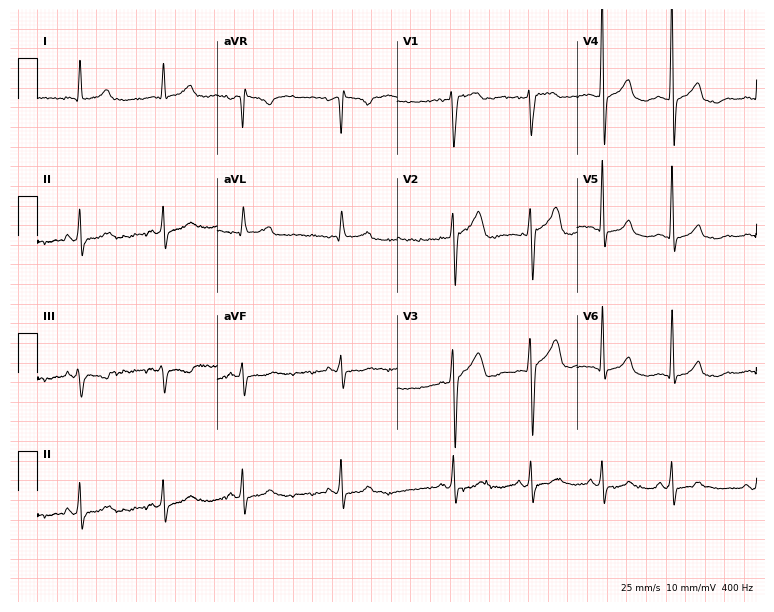
12-lead ECG from a 33-year-old female patient. No first-degree AV block, right bundle branch block (RBBB), left bundle branch block (LBBB), sinus bradycardia, atrial fibrillation (AF) or sinus tachycardia recorded for this tracing.